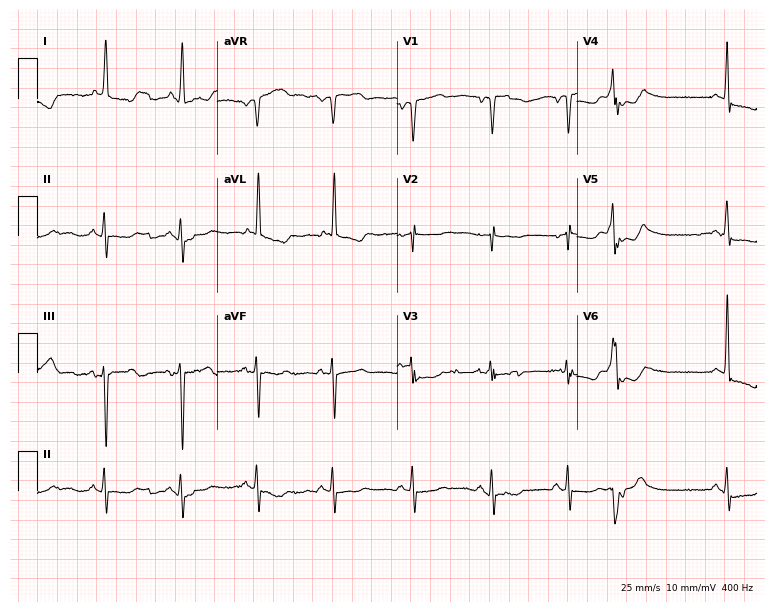
12-lead ECG from a woman, 85 years old. Screened for six findings — first-degree AV block, right bundle branch block, left bundle branch block, sinus bradycardia, atrial fibrillation, sinus tachycardia — none is recorded.